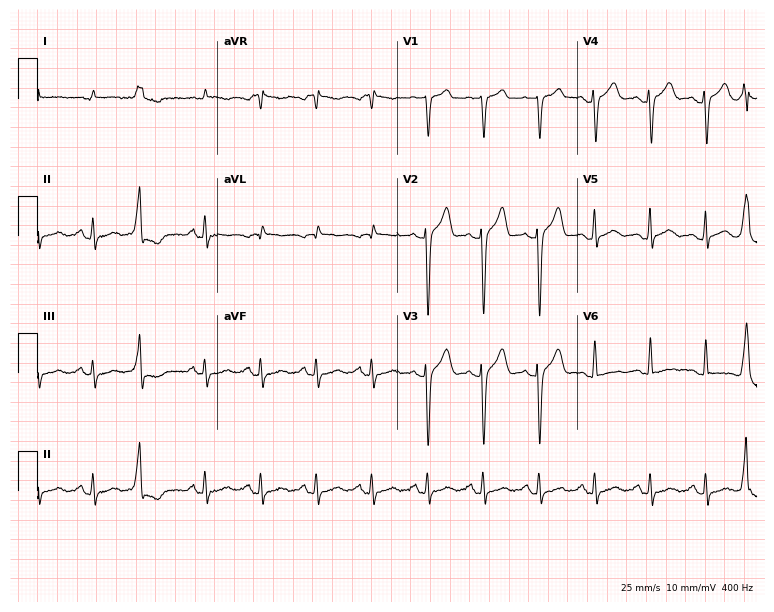
12-lead ECG (7.3-second recording at 400 Hz) from an 83-year-old male. Findings include sinus tachycardia (a sinus rate of 100 beats per minute or more).